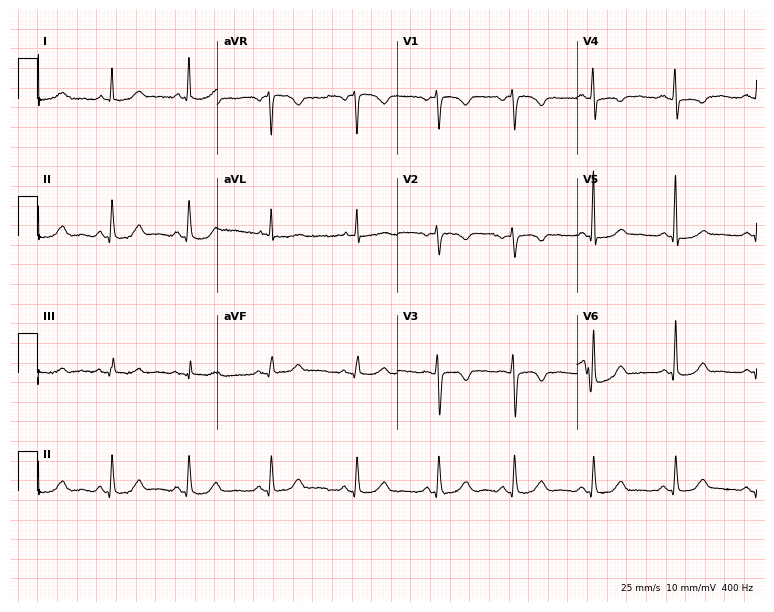
Electrocardiogram, a woman, 49 years old. Overall reading on record: normal ECG.